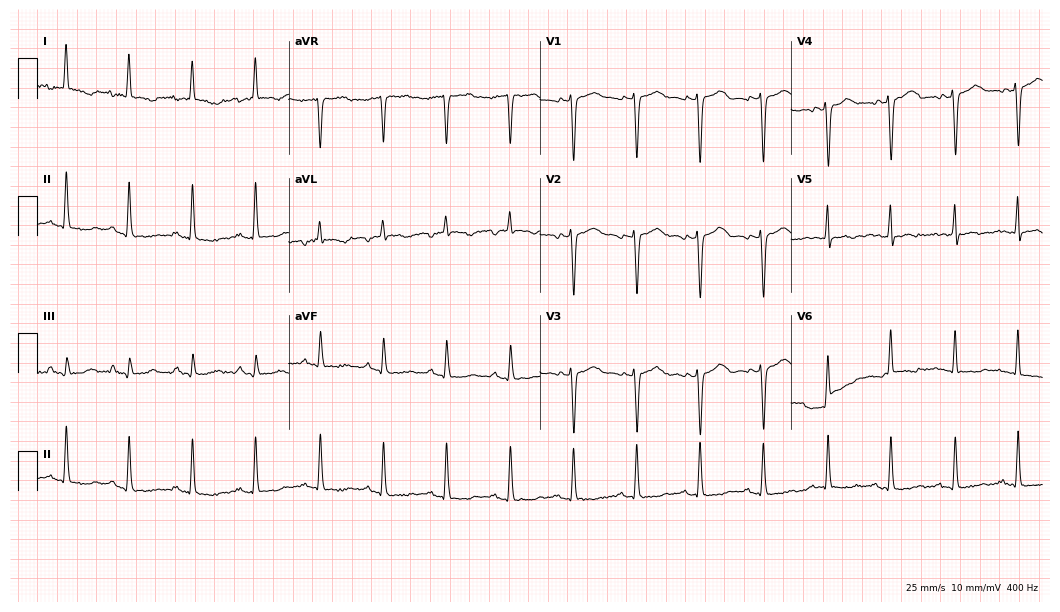
Electrocardiogram, a female, 38 years old. Of the six screened findings (first-degree AV block, right bundle branch block, left bundle branch block, sinus bradycardia, atrial fibrillation, sinus tachycardia), none is recorded.